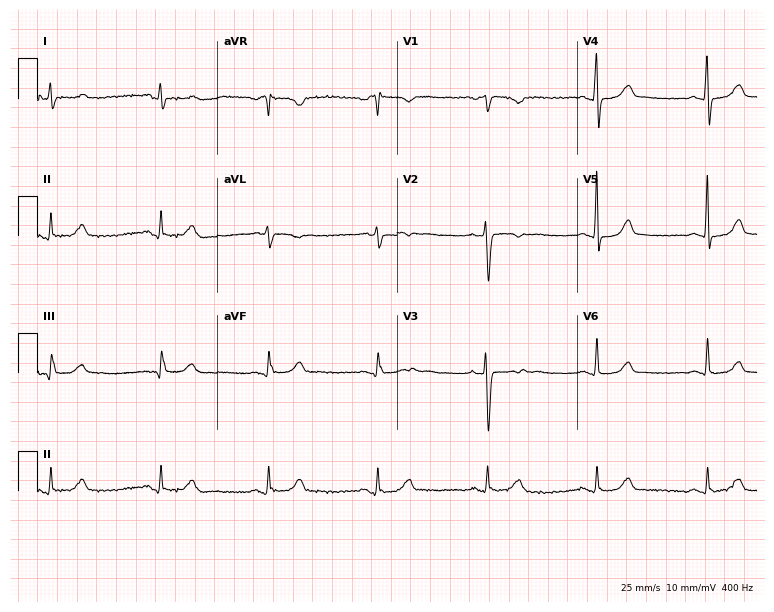
ECG (7.3-second recording at 400 Hz) — a 40-year-old woman. Labelled as a normal ECG.